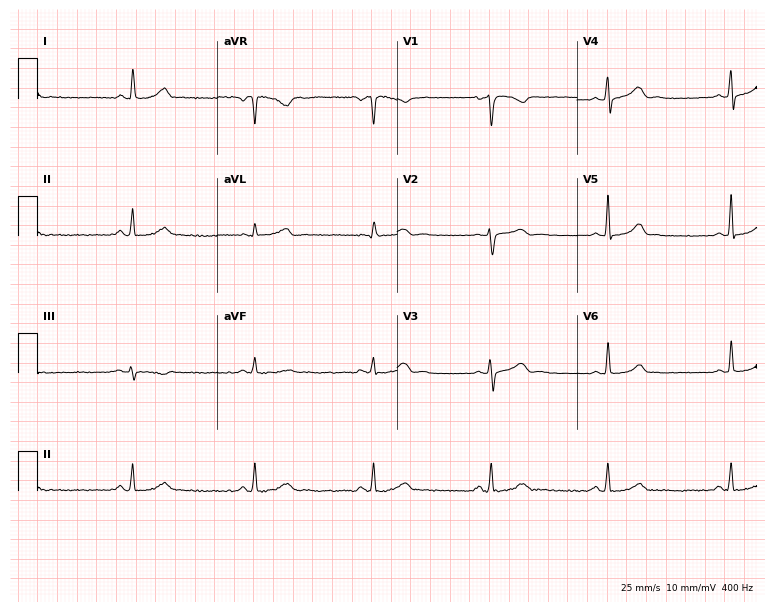
12-lead ECG from a female, 44 years old. No first-degree AV block, right bundle branch block (RBBB), left bundle branch block (LBBB), sinus bradycardia, atrial fibrillation (AF) or sinus tachycardia recorded for this tracing. Findings outside these six are not listed.